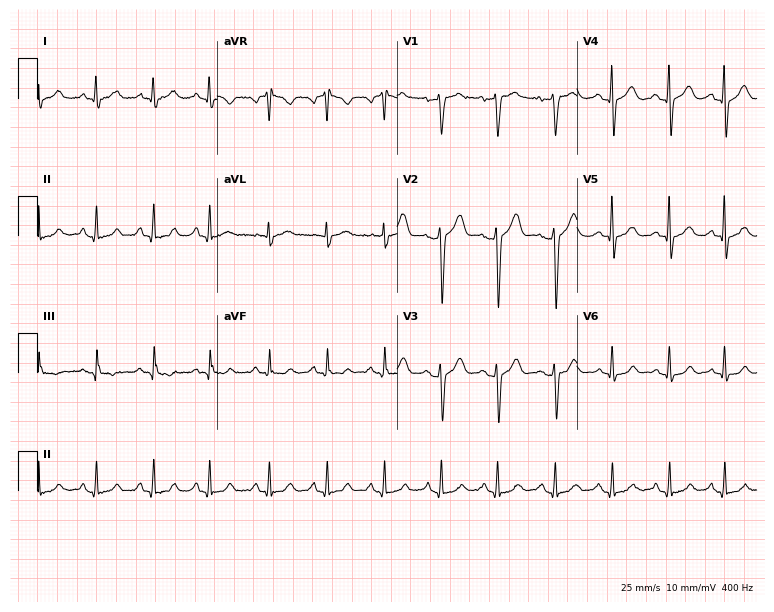
Electrocardiogram, a man, 72 years old. Interpretation includes sinus tachycardia (a sinus rate of 100 beats per minute or more).